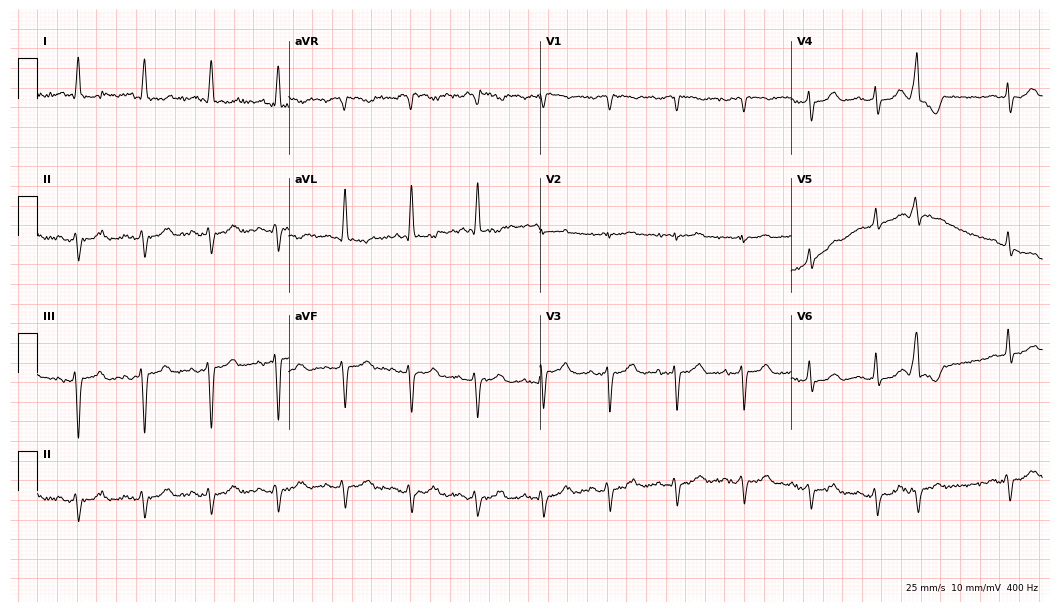
ECG (10.2-second recording at 400 Hz) — a 79-year-old male. Screened for six findings — first-degree AV block, right bundle branch block (RBBB), left bundle branch block (LBBB), sinus bradycardia, atrial fibrillation (AF), sinus tachycardia — none is recorded. Findings outside these six are not listed.